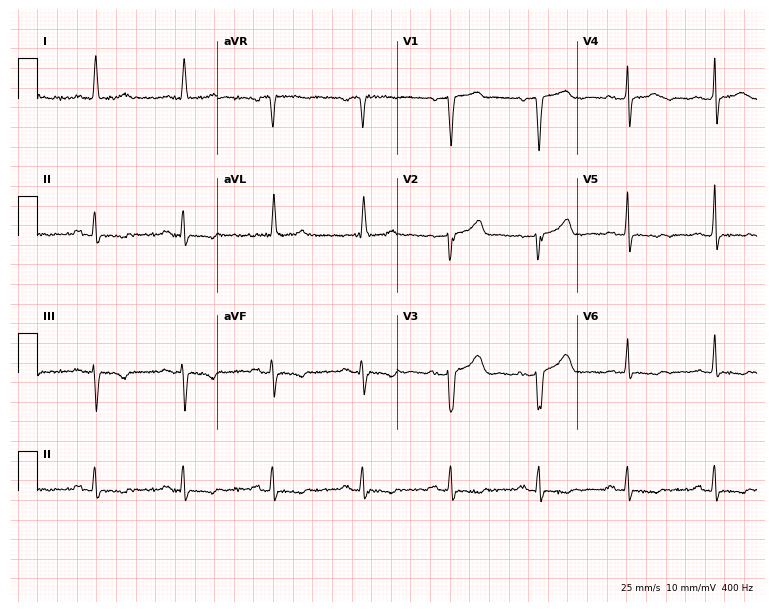
12-lead ECG from a woman, 83 years old. Screened for six findings — first-degree AV block, right bundle branch block, left bundle branch block, sinus bradycardia, atrial fibrillation, sinus tachycardia — none is recorded. Other findings, if any, are not listed.